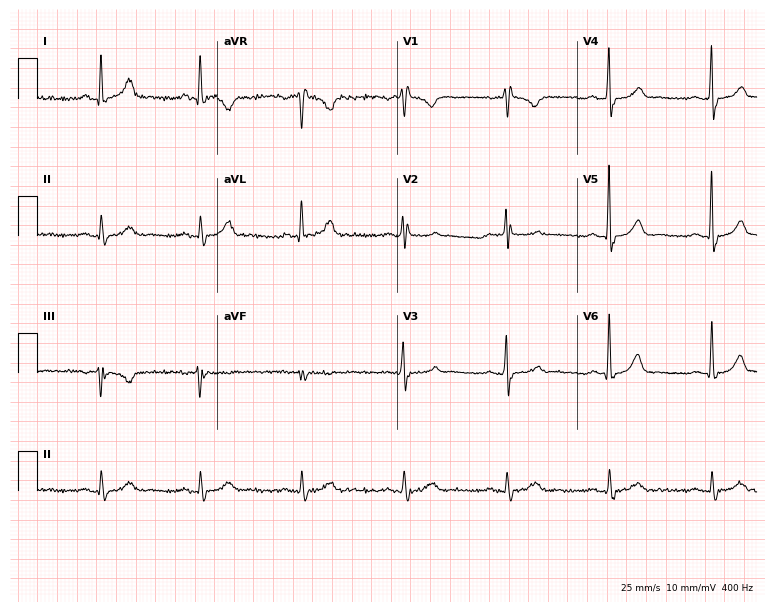
12-lead ECG from a male patient, 56 years old (7.3-second recording at 400 Hz). No first-degree AV block, right bundle branch block (RBBB), left bundle branch block (LBBB), sinus bradycardia, atrial fibrillation (AF) or sinus tachycardia recorded for this tracing.